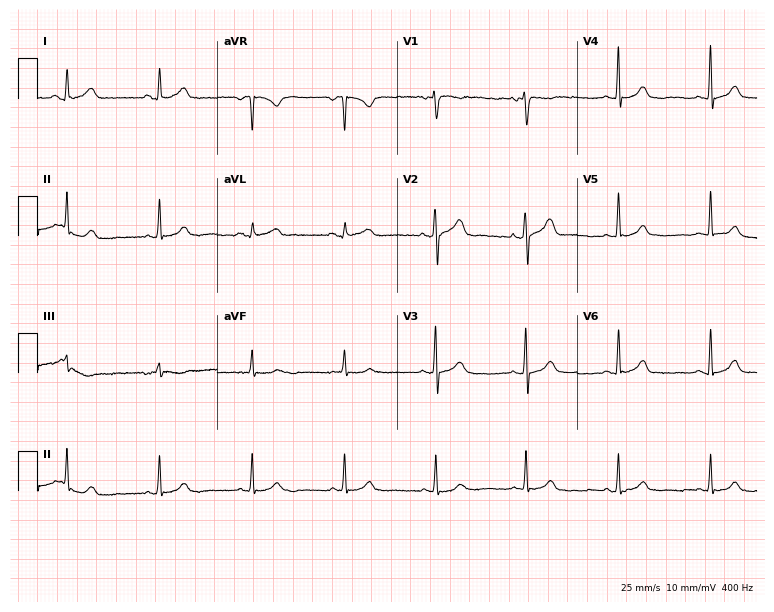
12-lead ECG from a 44-year-old woman. Recorded interpretation: within normal limits.